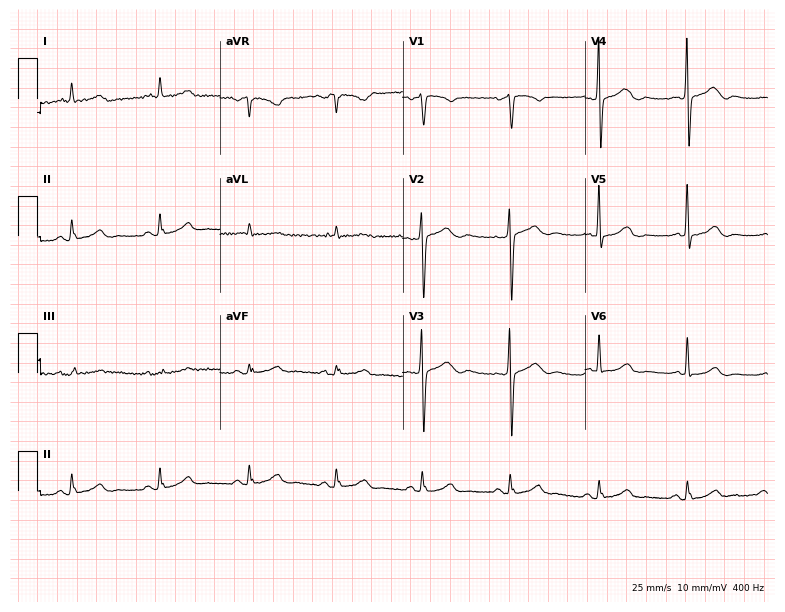
Electrocardiogram (7.4-second recording at 400 Hz), a 68-year-old female. Overall reading on record: normal ECG.